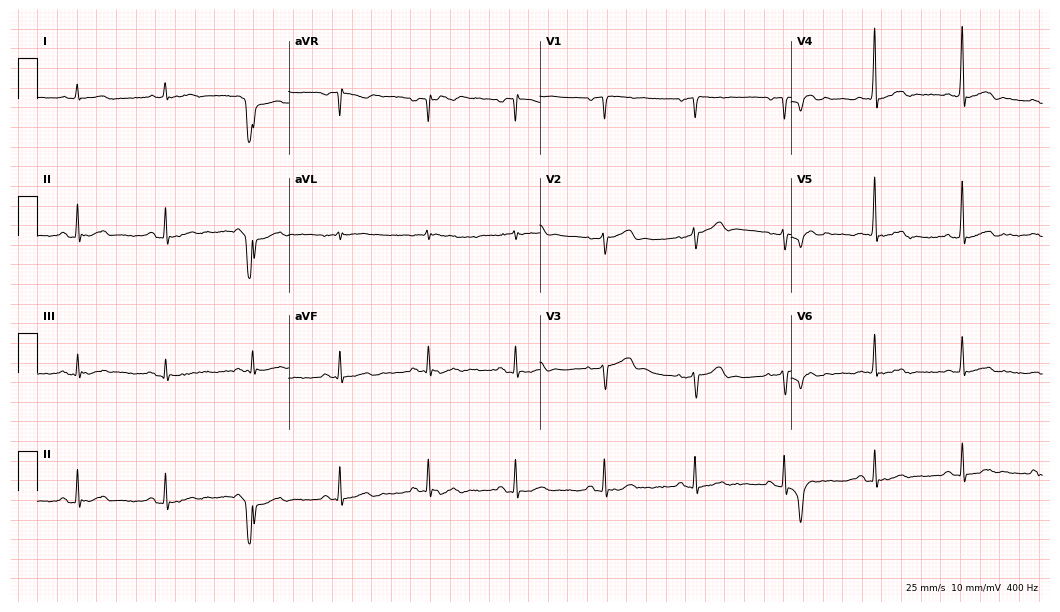
Electrocardiogram (10.2-second recording at 400 Hz), a 63-year-old male. Overall reading on record: normal ECG.